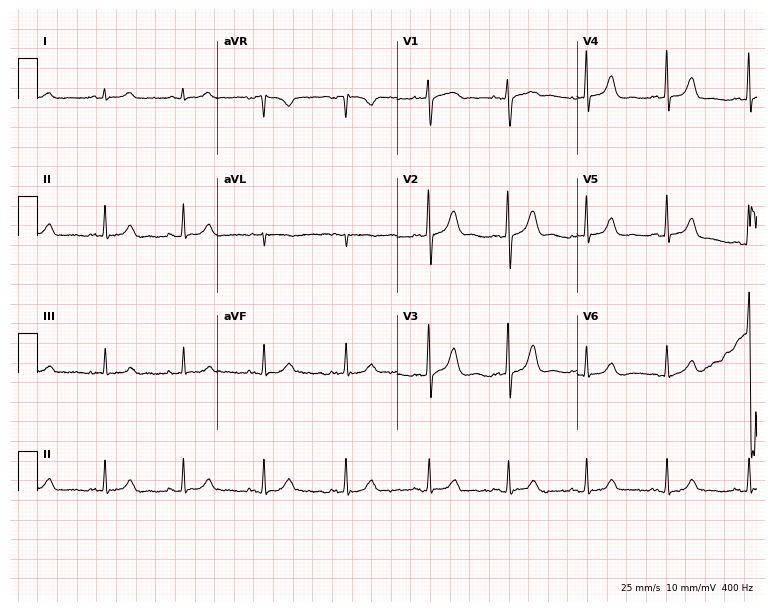
12-lead ECG (7.3-second recording at 400 Hz) from a 37-year-old woman. Labelled as a normal ECG.